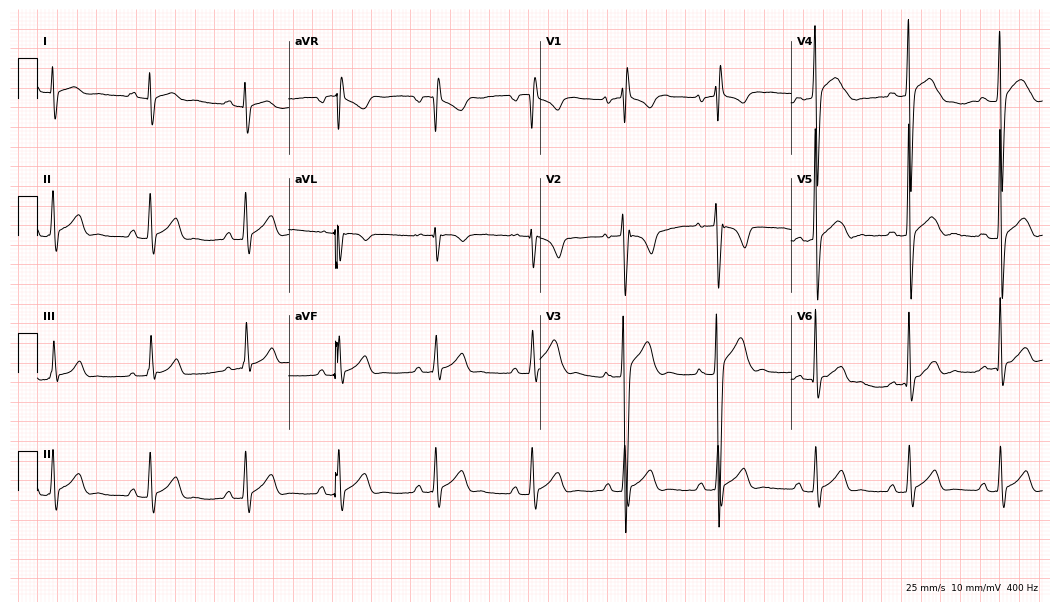
ECG (10.2-second recording at 400 Hz) — a 20-year-old male. Screened for six findings — first-degree AV block, right bundle branch block, left bundle branch block, sinus bradycardia, atrial fibrillation, sinus tachycardia — none is recorded. Only these six findings were labelled.